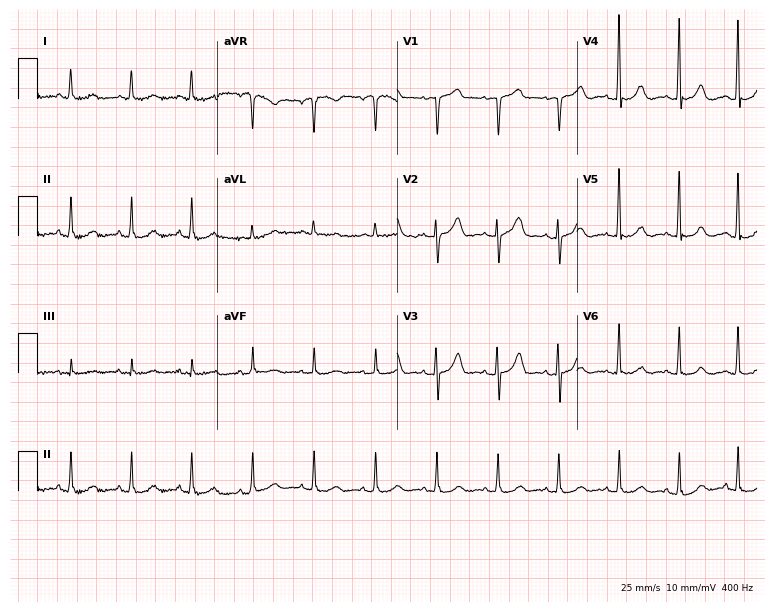
Electrocardiogram (7.3-second recording at 400 Hz), a female patient, 68 years old. Overall reading on record: normal ECG.